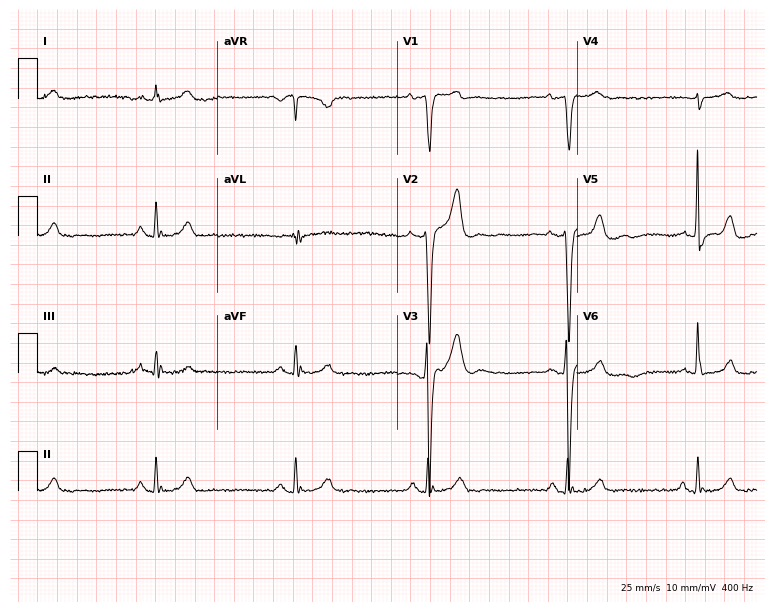
Standard 12-lead ECG recorded from a 45-year-old man (7.3-second recording at 400 Hz). The tracing shows sinus bradycardia (a sinus rate of 50 beats per minute or less).